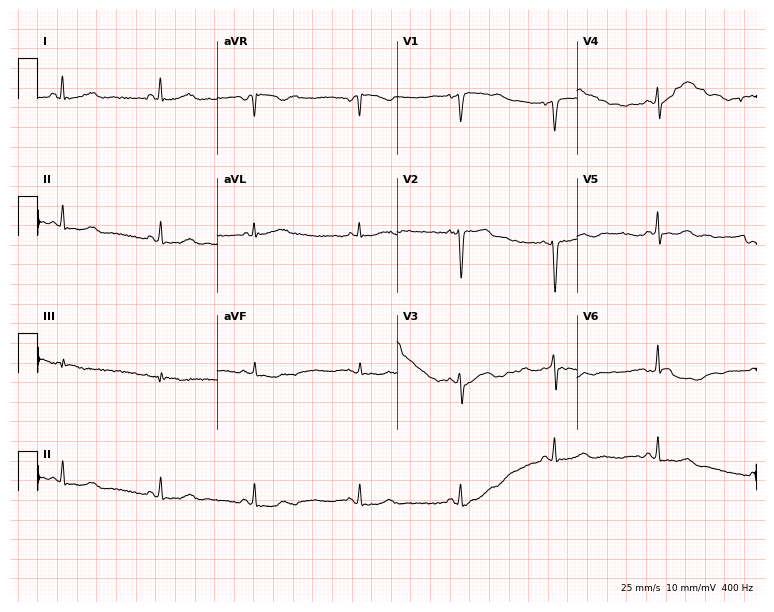
Electrocardiogram (7.3-second recording at 400 Hz), a 29-year-old woman. Of the six screened findings (first-degree AV block, right bundle branch block, left bundle branch block, sinus bradycardia, atrial fibrillation, sinus tachycardia), none is recorded.